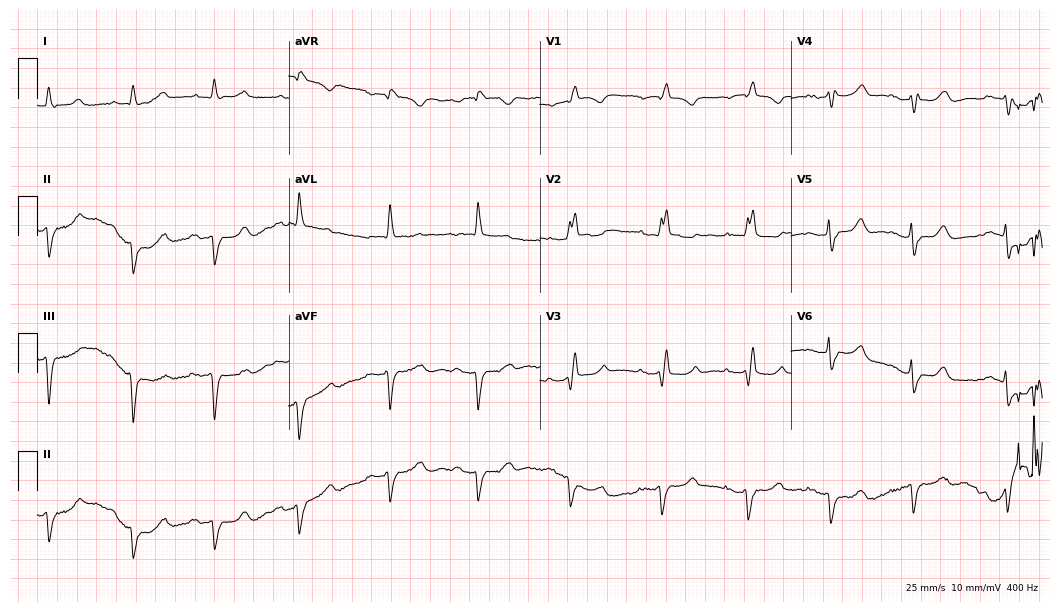
12-lead ECG from a female patient, 77 years old. Screened for six findings — first-degree AV block, right bundle branch block, left bundle branch block, sinus bradycardia, atrial fibrillation, sinus tachycardia — none is recorded.